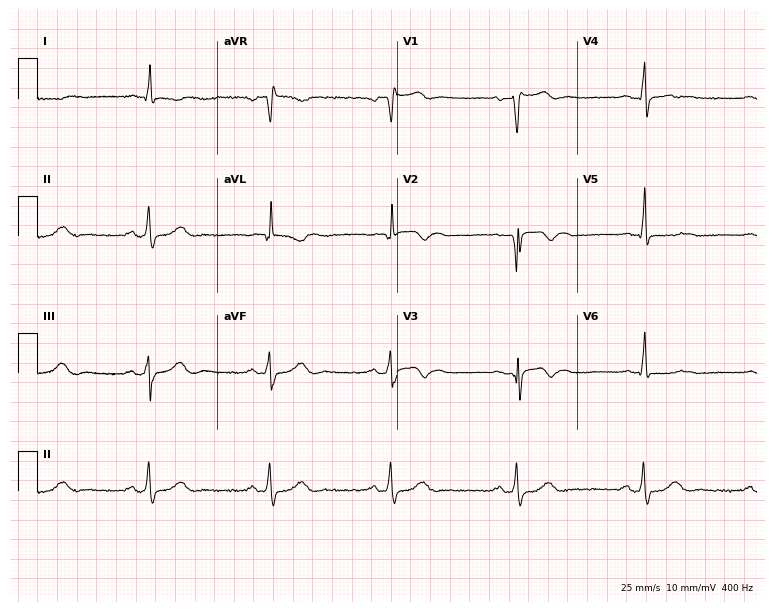
ECG (7.3-second recording at 400 Hz) — a male patient, 78 years old. Screened for six findings — first-degree AV block, right bundle branch block (RBBB), left bundle branch block (LBBB), sinus bradycardia, atrial fibrillation (AF), sinus tachycardia — none is recorded. Only these six findings were labelled.